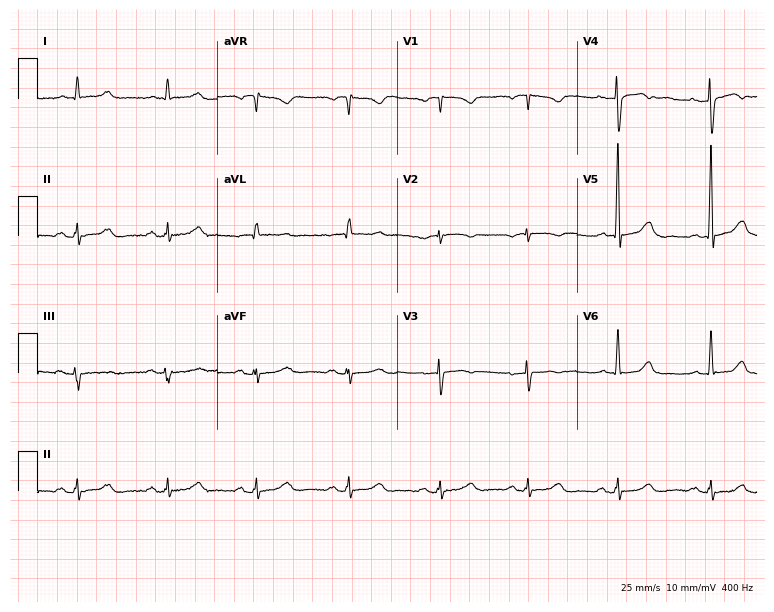
Electrocardiogram, a 67-year-old woman. Of the six screened findings (first-degree AV block, right bundle branch block, left bundle branch block, sinus bradycardia, atrial fibrillation, sinus tachycardia), none is recorded.